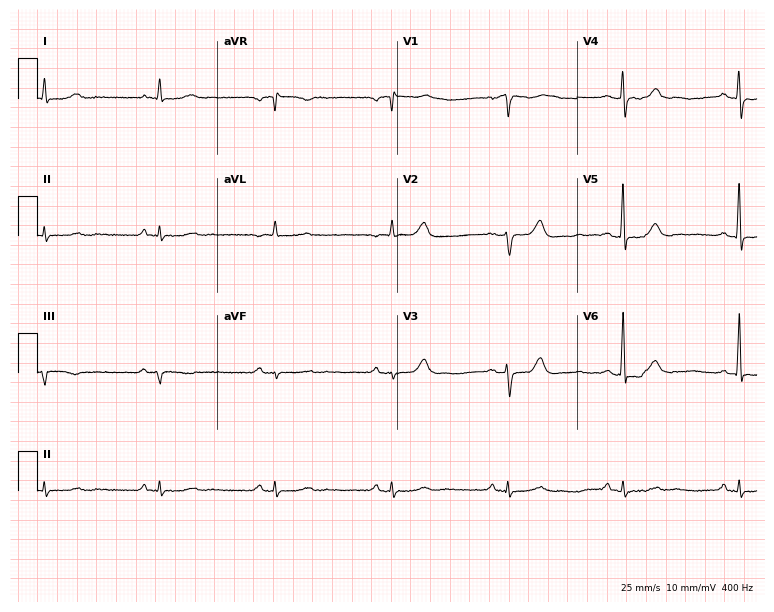
ECG — a 70-year-old man. Labelled as a normal ECG.